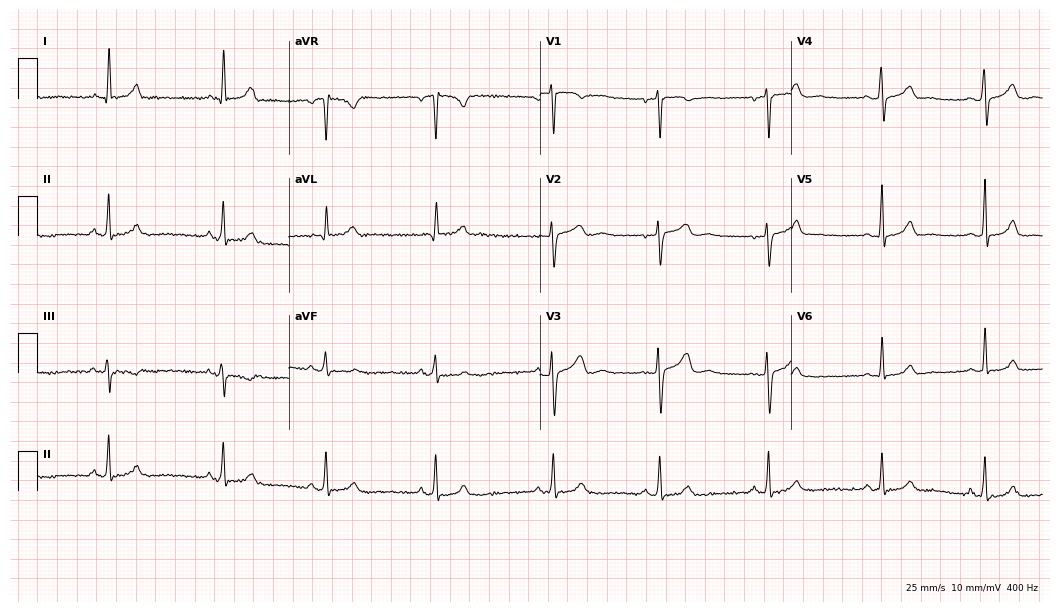
ECG — a female patient, 35 years old. Labelled as a normal ECG.